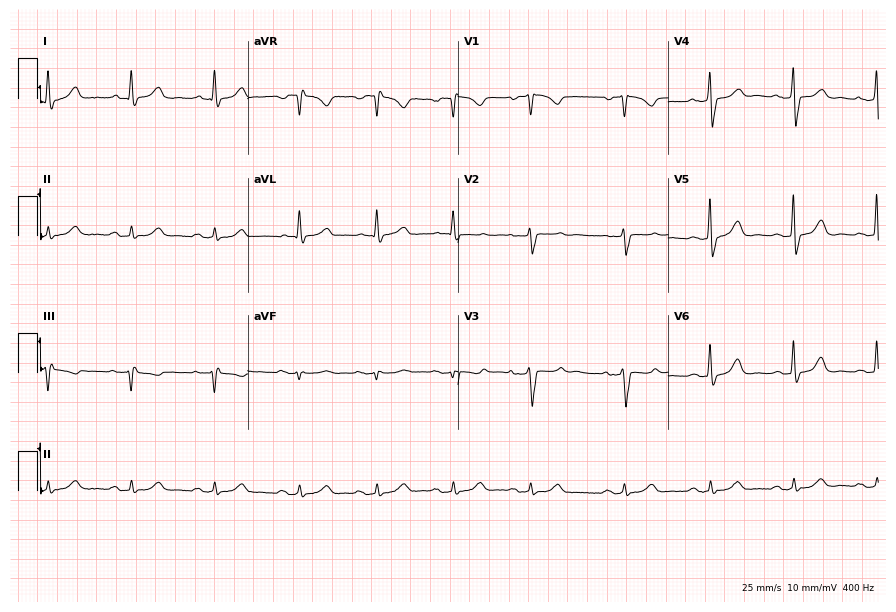
ECG — a 73-year-old female. Screened for six findings — first-degree AV block, right bundle branch block (RBBB), left bundle branch block (LBBB), sinus bradycardia, atrial fibrillation (AF), sinus tachycardia — none is recorded.